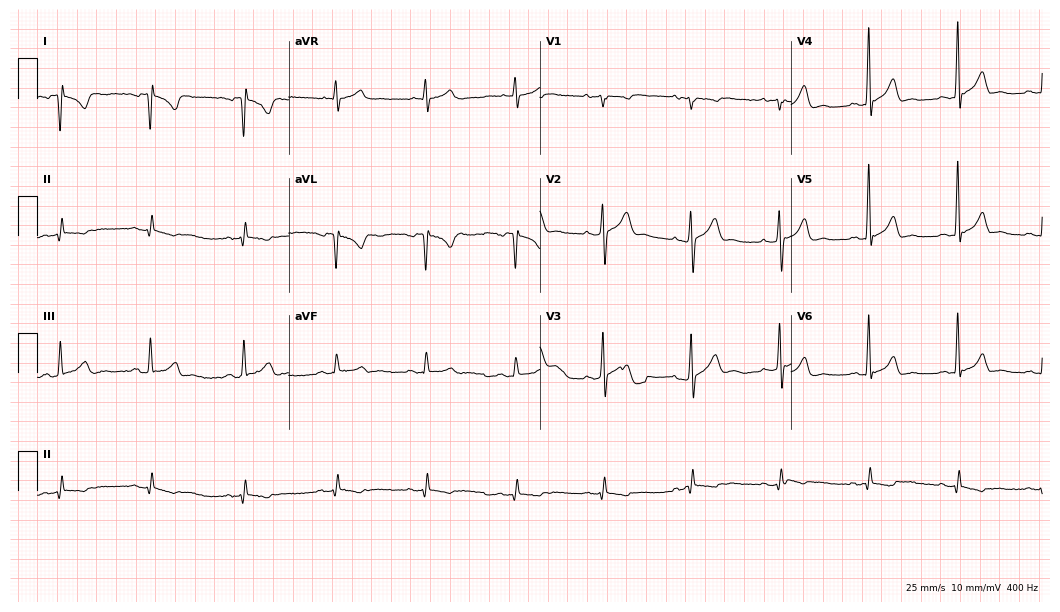
12-lead ECG from a 32-year-old man. No first-degree AV block, right bundle branch block (RBBB), left bundle branch block (LBBB), sinus bradycardia, atrial fibrillation (AF) or sinus tachycardia recorded for this tracing.